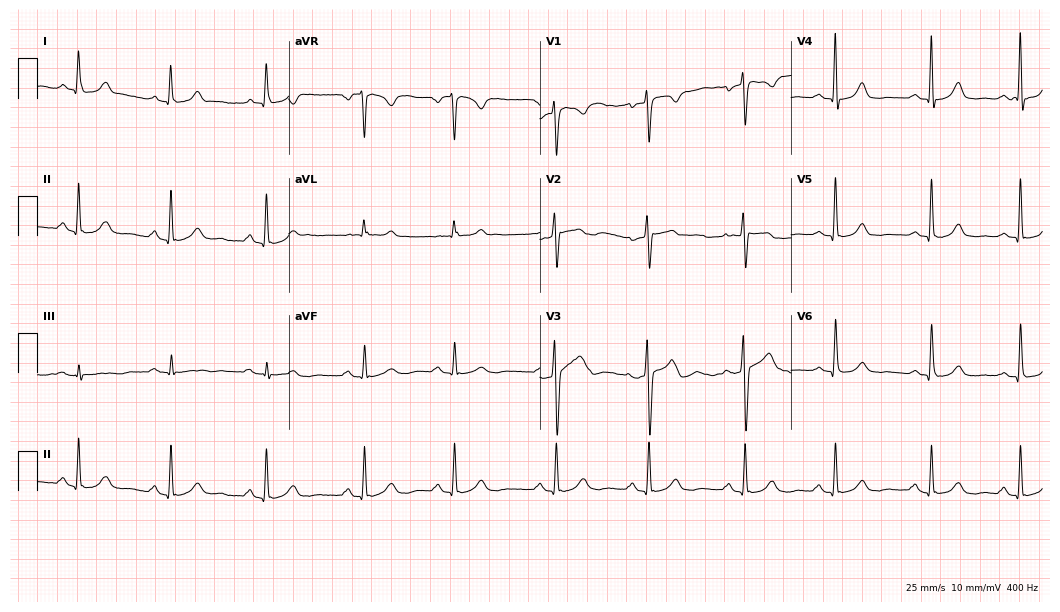
Resting 12-lead electrocardiogram (10.2-second recording at 400 Hz). Patient: a 51-year-old female. Read as a normal ECG.